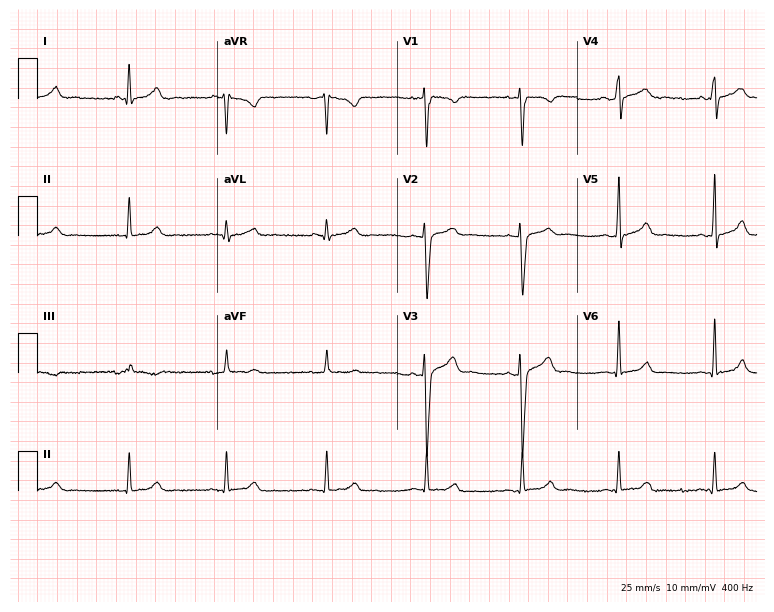
12-lead ECG (7.3-second recording at 400 Hz) from a man, 29 years old. Labelled as a normal ECG.